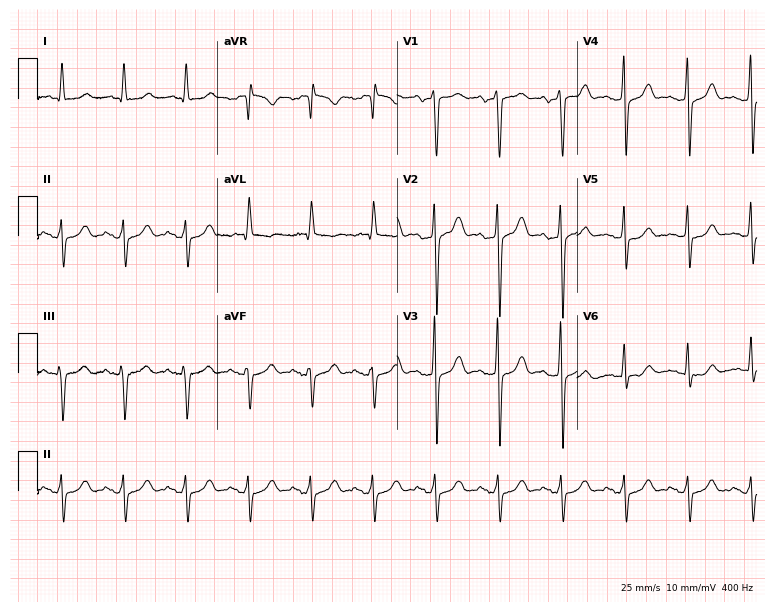
Resting 12-lead electrocardiogram (7.3-second recording at 400 Hz). Patient: a 68-year-old male. None of these six findings is recorded: first-degree AV block, right bundle branch block, left bundle branch block, sinus bradycardia, atrial fibrillation, sinus tachycardia. Only these six findings were labelled.